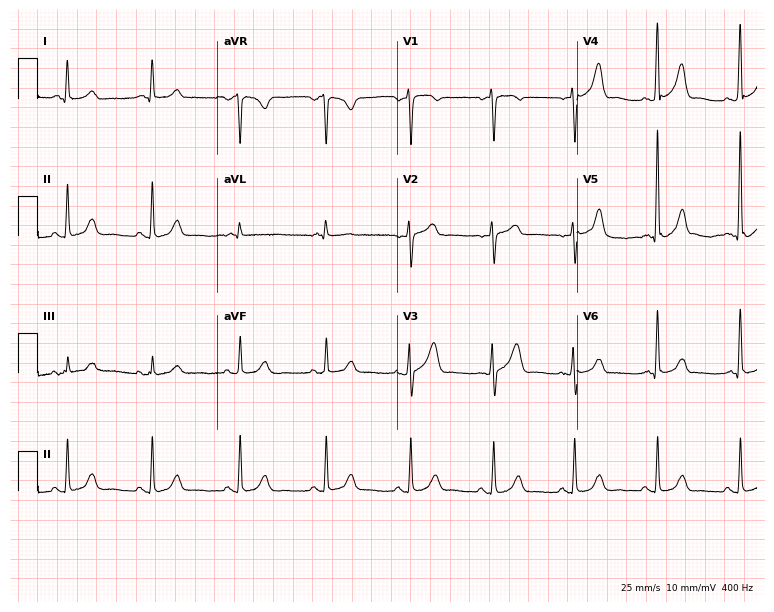
Electrocardiogram, a female patient, 62 years old. Overall reading on record: normal ECG.